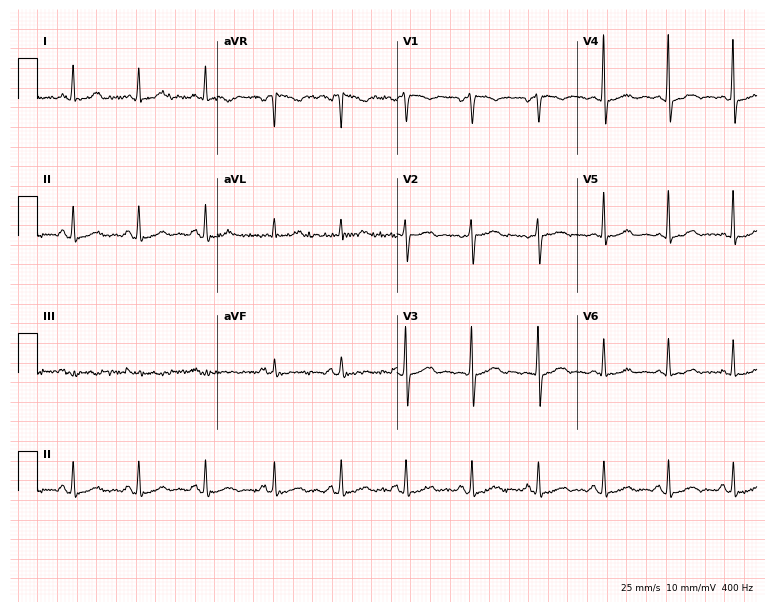
Electrocardiogram (7.3-second recording at 400 Hz), a 46-year-old woman. Of the six screened findings (first-degree AV block, right bundle branch block, left bundle branch block, sinus bradycardia, atrial fibrillation, sinus tachycardia), none is recorded.